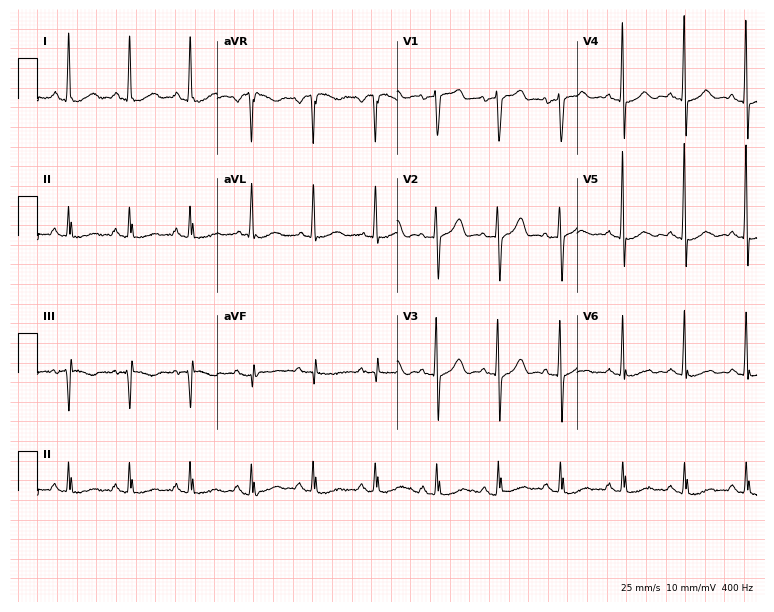
ECG (7.3-second recording at 400 Hz) — a female patient, 78 years old. Labelled as a normal ECG.